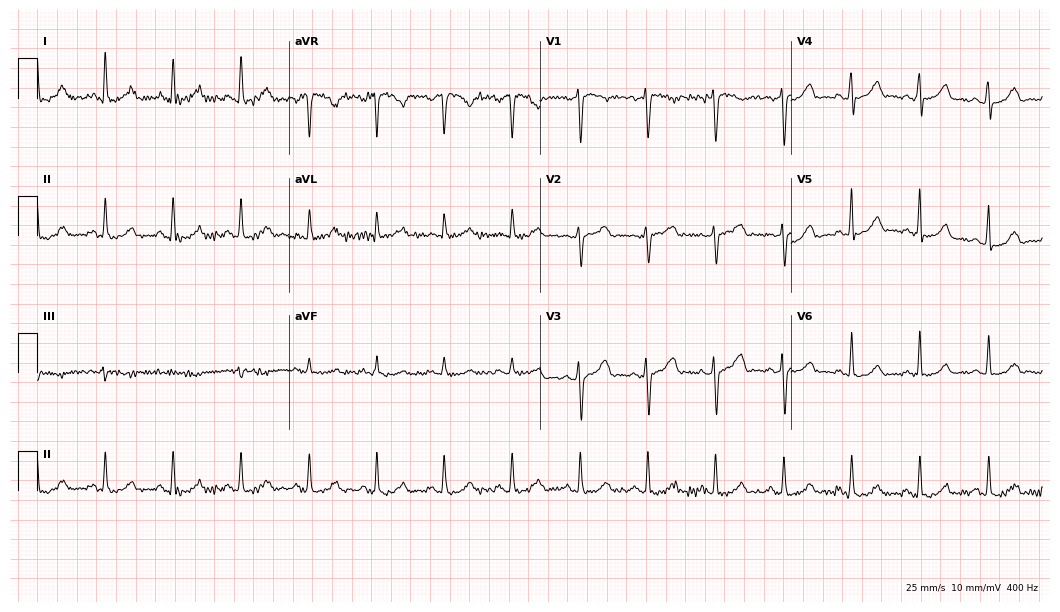
12-lead ECG from a 55-year-old woman. Recorded interpretation: within normal limits.